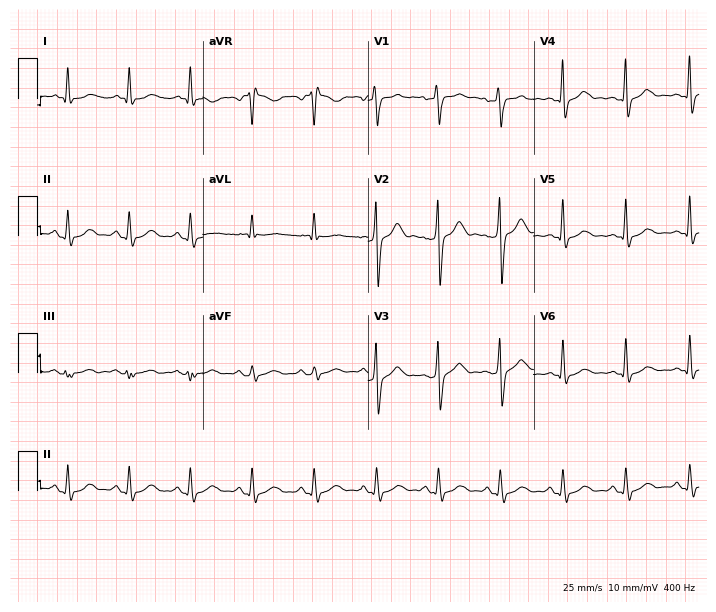
Electrocardiogram (6.7-second recording at 400 Hz), a man, 41 years old. Of the six screened findings (first-degree AV block, right bundle branch block (RBBB), left bundle branch block (LBBB), sinus bradycardia, atrial fibrillation (AF), sinus tachycardia), none is recorded. Only these six findings were labelled.